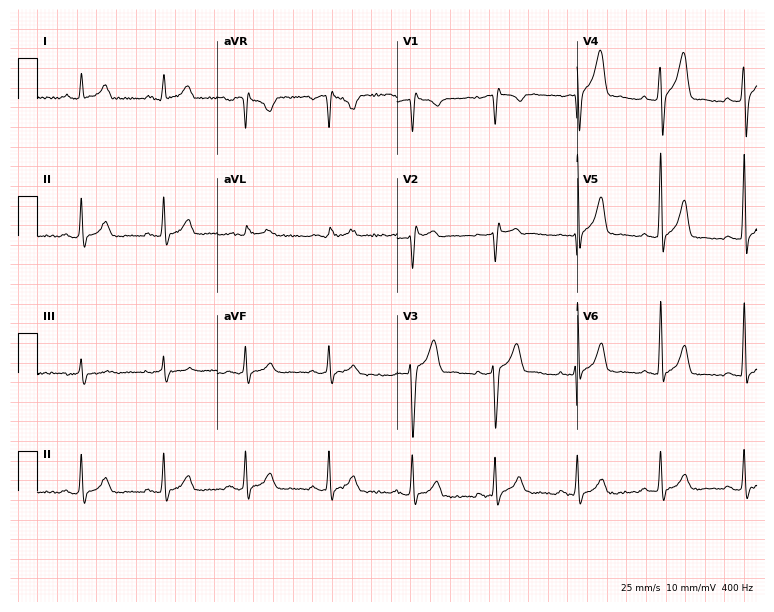
Standard 12-lead ECG recorded from a man, 38 years old (7.3-second recording at 400 Hz). None of these six findings is recorded: first-degree AV block, right bundle branch block, left bundle branch block, sinus bradycardia, atrial fibrillation, sinus tachycardia. Other findings, if any, are not listed.